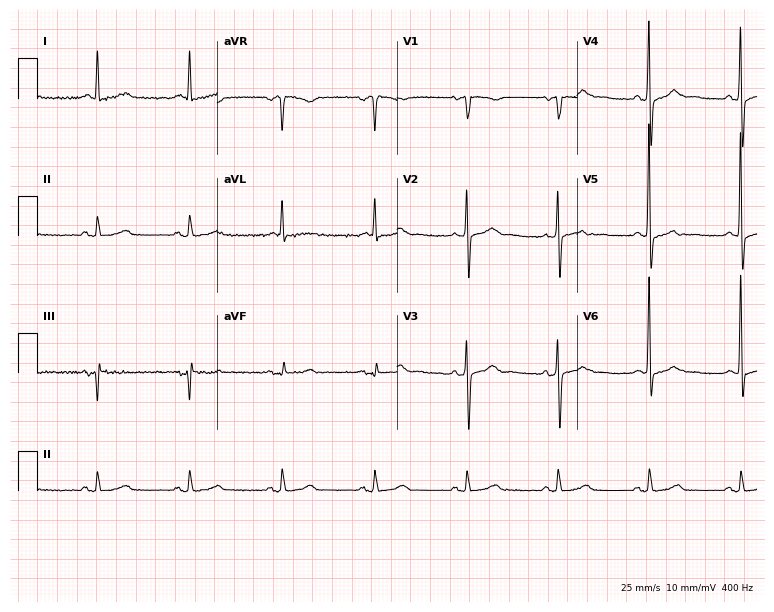
Resting 12-lead electrocardiogram. Patient: a woman, 71 years old. None of these six findings is recorded: first-degree AV block, right bundle branch block (RBBB), left bundle branch block (LBBB), sinus bradycardia, atrial fibrillation (AF), sinus tachycardia.